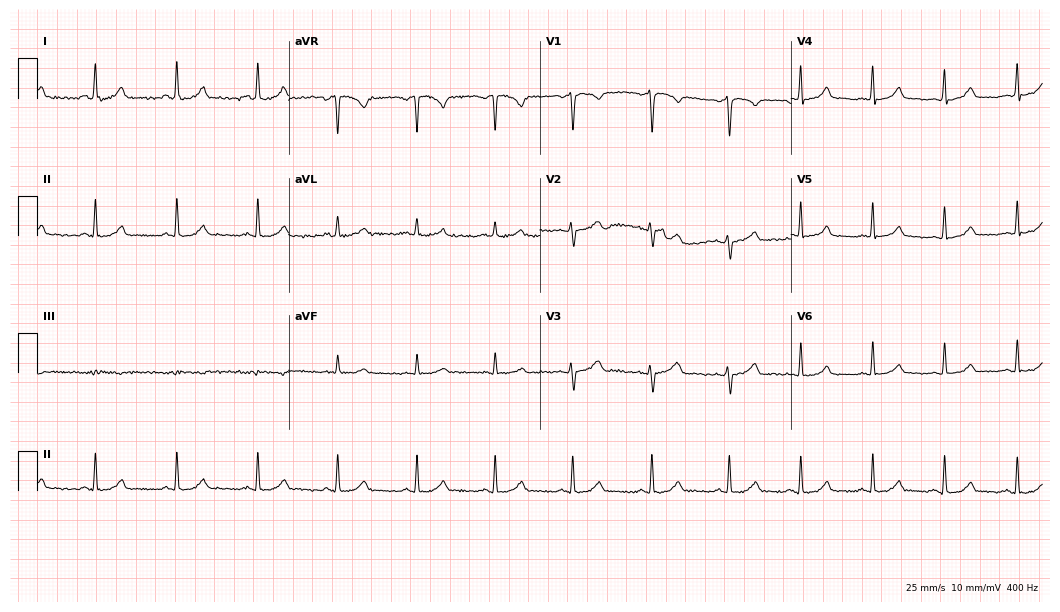
Resting 12-lead electrocardiogram. Patient: a 31-year-old woman. Read as a normal ECG.